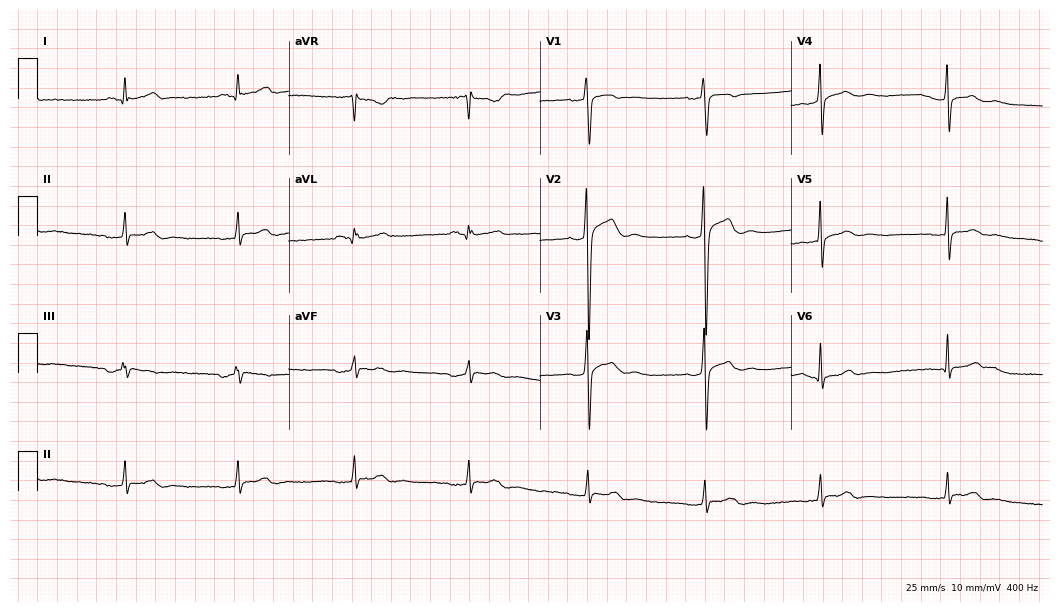
12-lead ECG from a 22-year-old male patient. Shows sinus bradycardia (a sinus rate of 50 beats per minute or less).